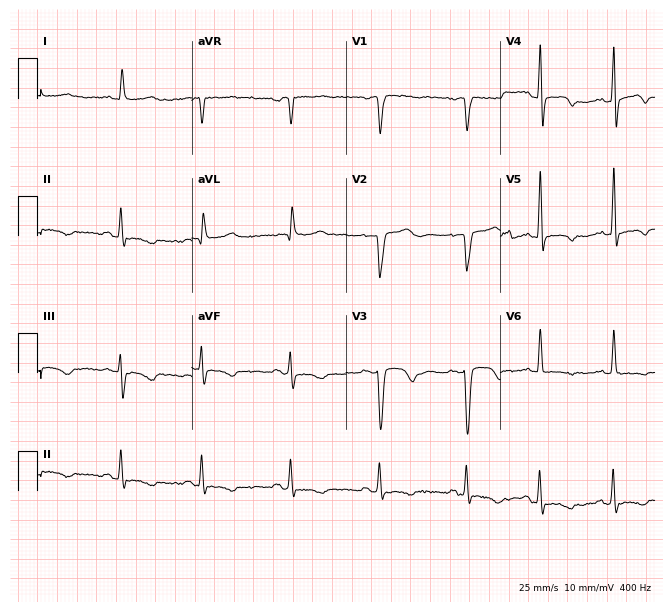
Resting 12-lead electrocardiogram. Patient: a female, 59 years old. None of these six findings is recorded: first-degree AV block, right bundle branch block, left bundle branch block, sinus bradycardia, atrial fibrillation, sinus tachycardia. Only these six findings were labelled.